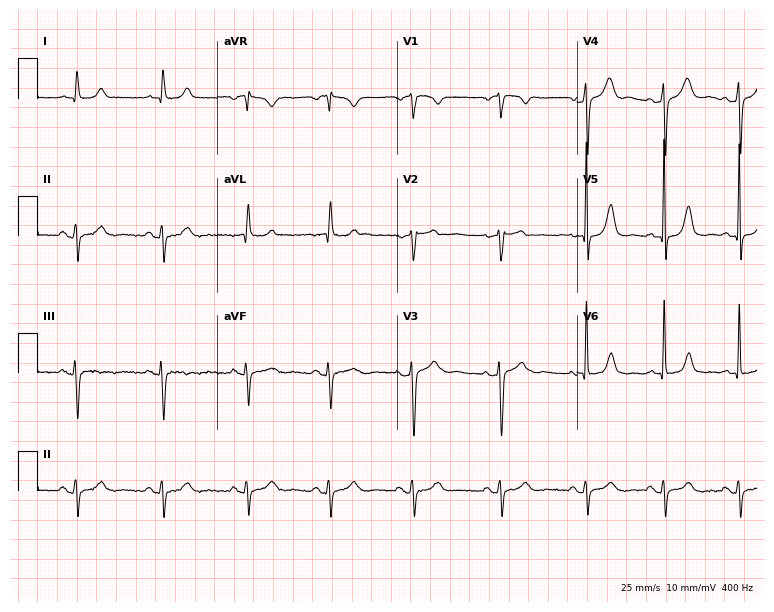
Resting 12-lead electrocardiogram (7.3-second recording at 400 Hz). Patient: a woman, 73 years old. None of these six findings is recorded: first-degree AV block, right bundle branch block, left bundle branch block, sinus bradycardia, atrial fibrillation, sinus tachycardia.